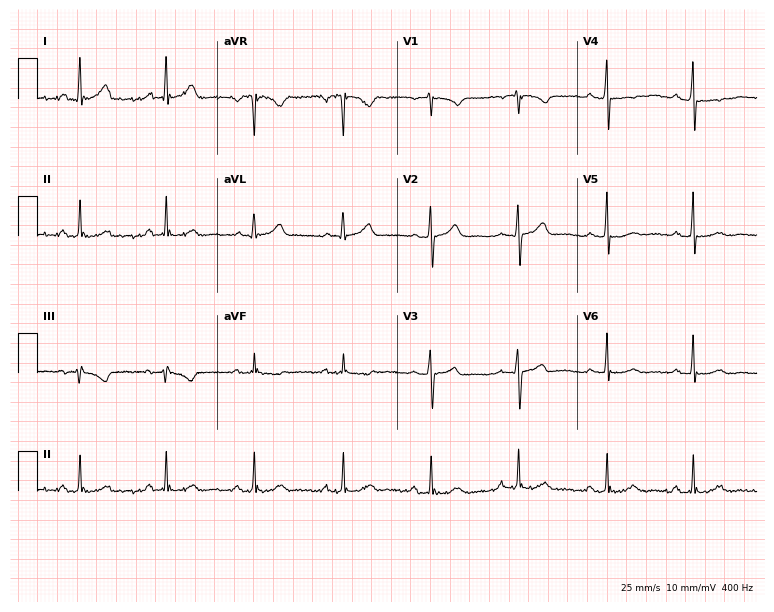
12-lead ECG from a 59-year-old female (7.3-second recording at 400 Hz). Recorded interpretation: within normal limits.